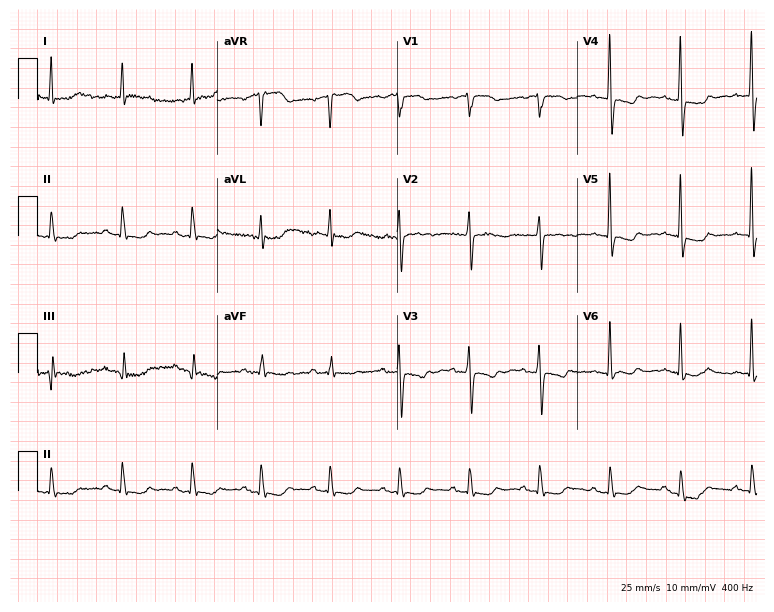
ECG — an 81-year-old female. Screened for six findings — first-degree AV block, right bundle branch block, left bundle branch block, sinus bradycardia, atrial fibrillation, sinus tachycardia — none is recorded.